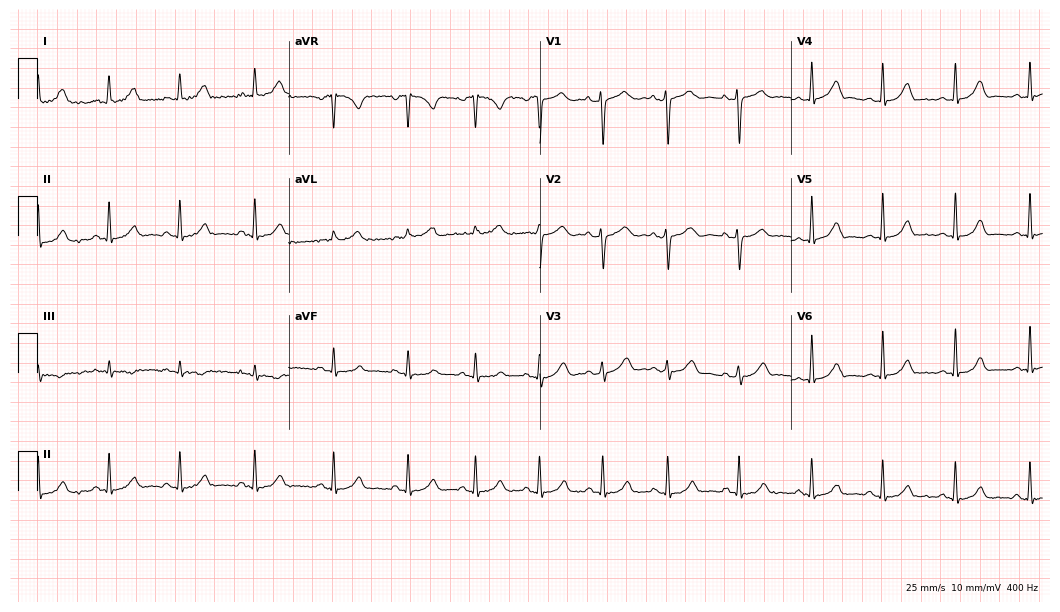
12-lead ECG from a female patient, 23 years old. Screened for six findings — first-degree AV block, right bundle branch block (RBBB), left bundle branch block (LBBB), sinus bradycardia, atrial fibrillation (AF), sinus tachycardia — none is recorded. Only these six findings were labelled.